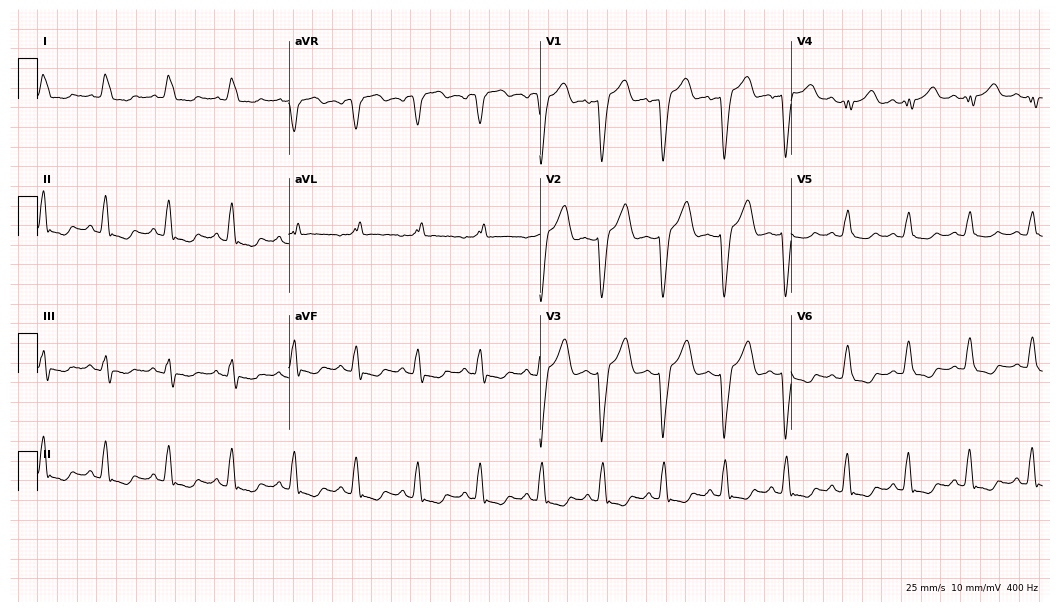
Resting 12-lead electrocardiogram (10.2-second recording at 400 Hz). Patient: an 83-year-old woman. The tracing shows left bundle branch block (LBBB).